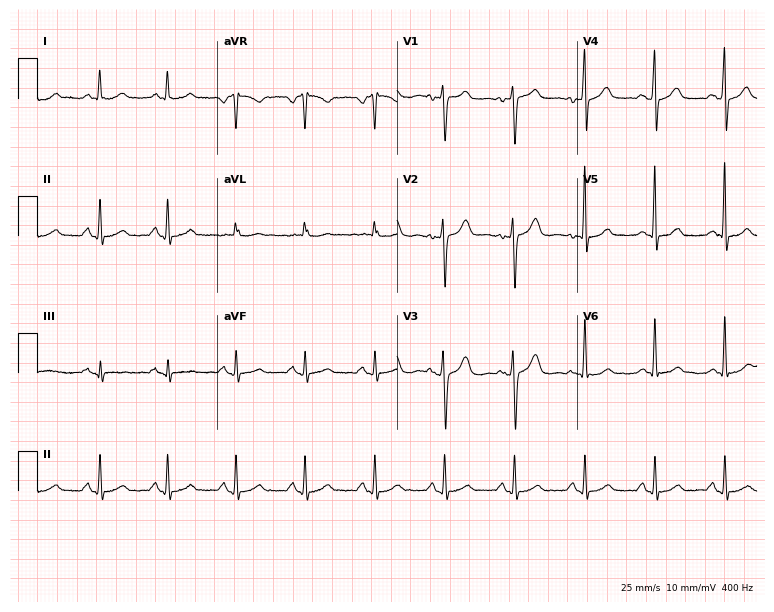
Electrocardiogram (7.3-second recording at 400 Hz), a 58-year-old male. Overall reading on record: normal ECG.